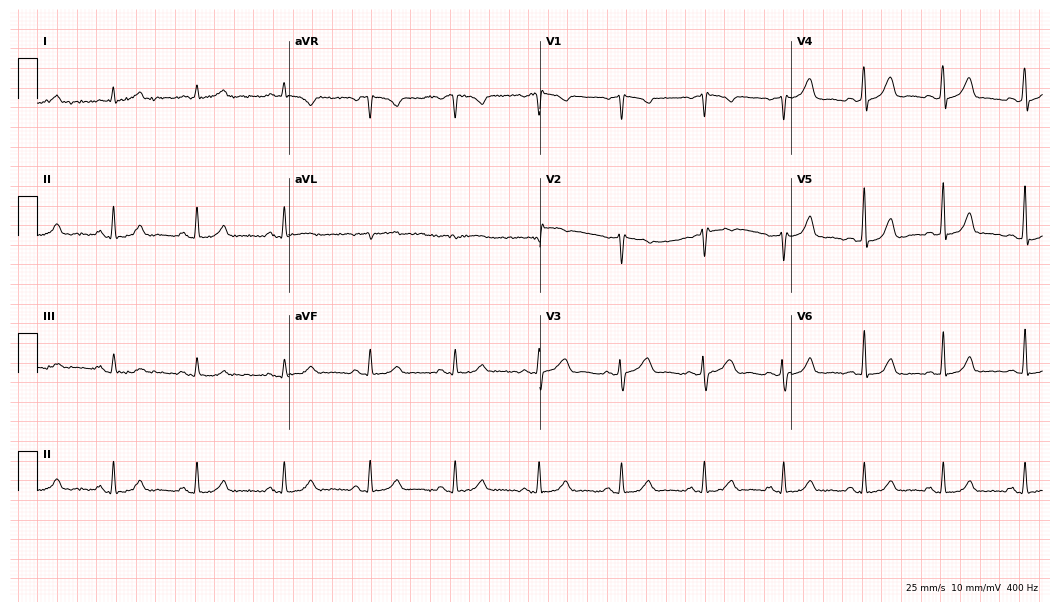
12-lead ECG from a female patient, 46 years old (10.2-second recording at 400 Hz). Recorded interpretation: within normal limits.